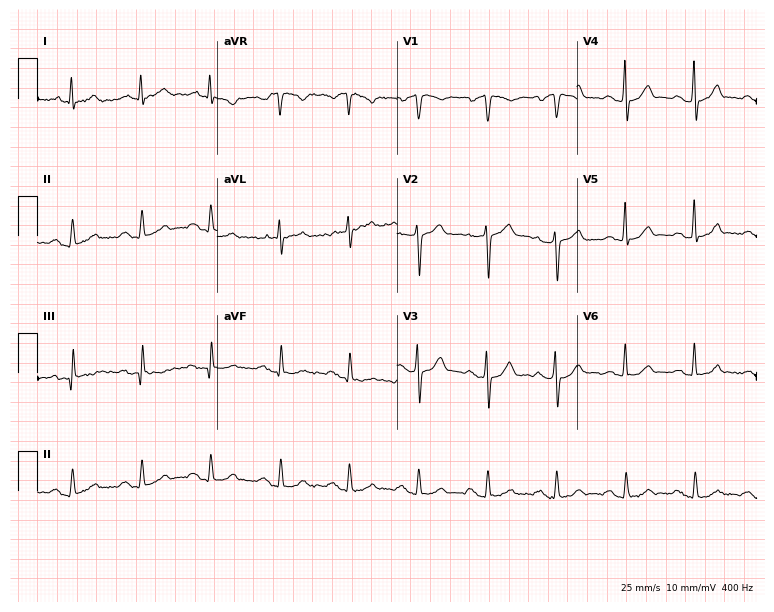
12-lead ECG from a 58-year-old male. Screened for six findings — first-degree AV block, right bundle branch block, left bundle branch block, sinus bradycardia, atrial fibrillation, sinus tachycardia — none is recorded. Other findings, if any, are not listed.